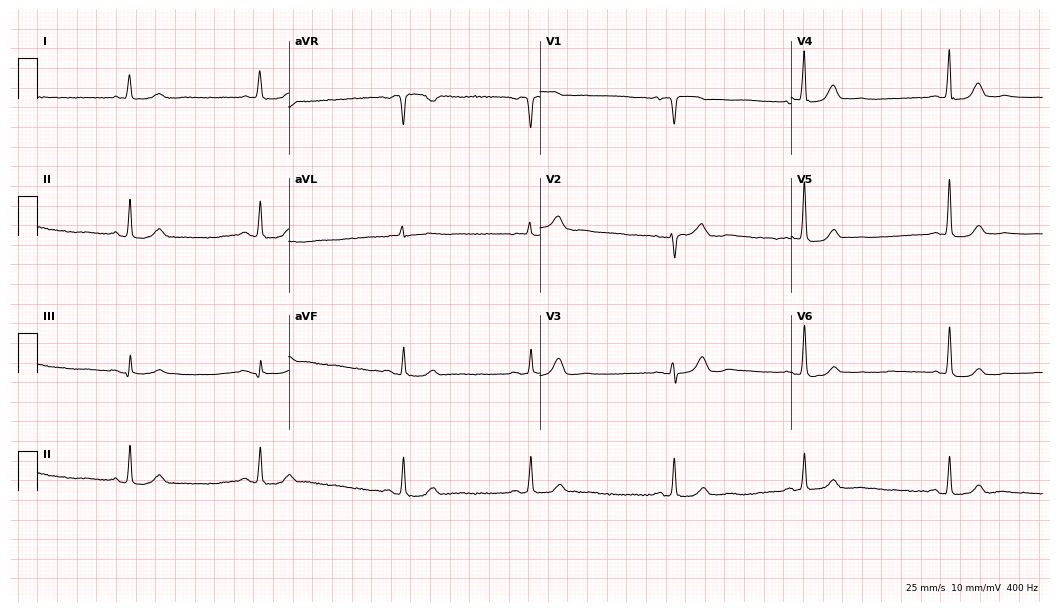
Standard 12-lead ECG recorded from an 81-year-old woman. None of these six findings is recorded: first-degree AV block, right bundle branch block, left bundle branch block, sinus bradycardia, atrial fibrillation, sinus tachycardia.